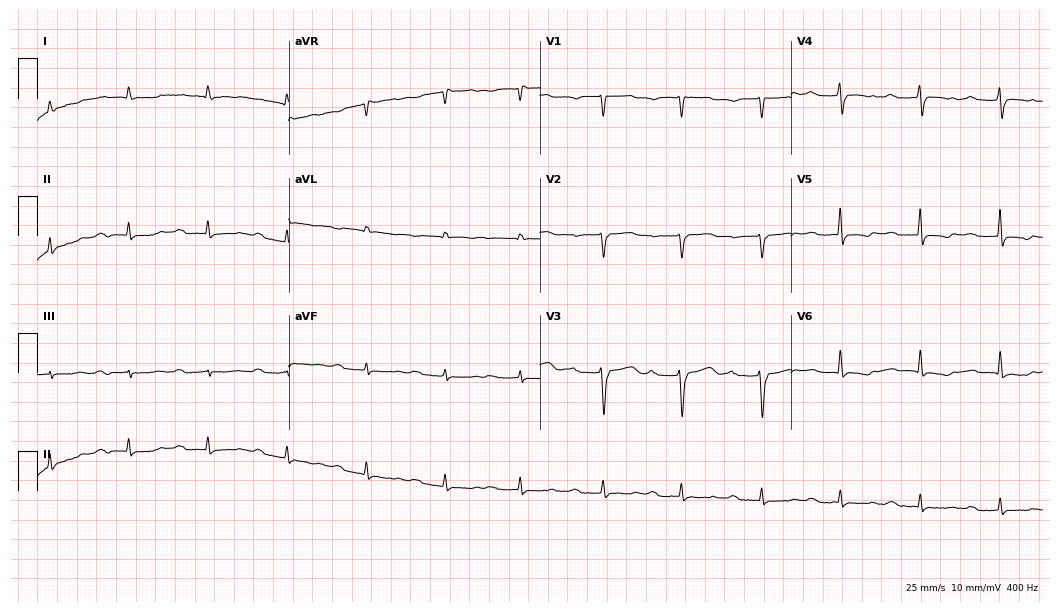
Resting 12-lead electrocardiogram. Patient: a 74-year-old man. The tracing shows first-degree AV block.